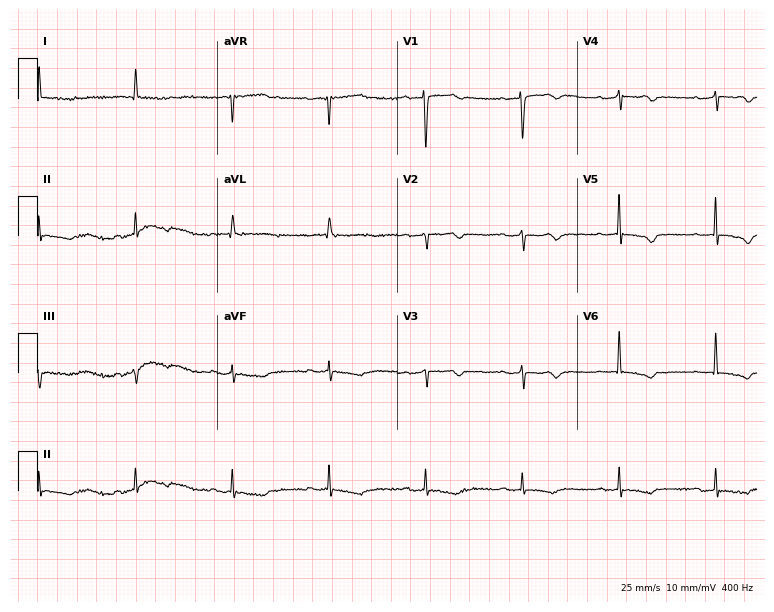
ECG — a 73-year-old female. Screened for six findings — first-degree AV block, right bundle branch block, left bundle branch block, sinus bradycardia, atrial fibrillation, sinus tachycardia — none is recorded. Only these six findings were labelled.